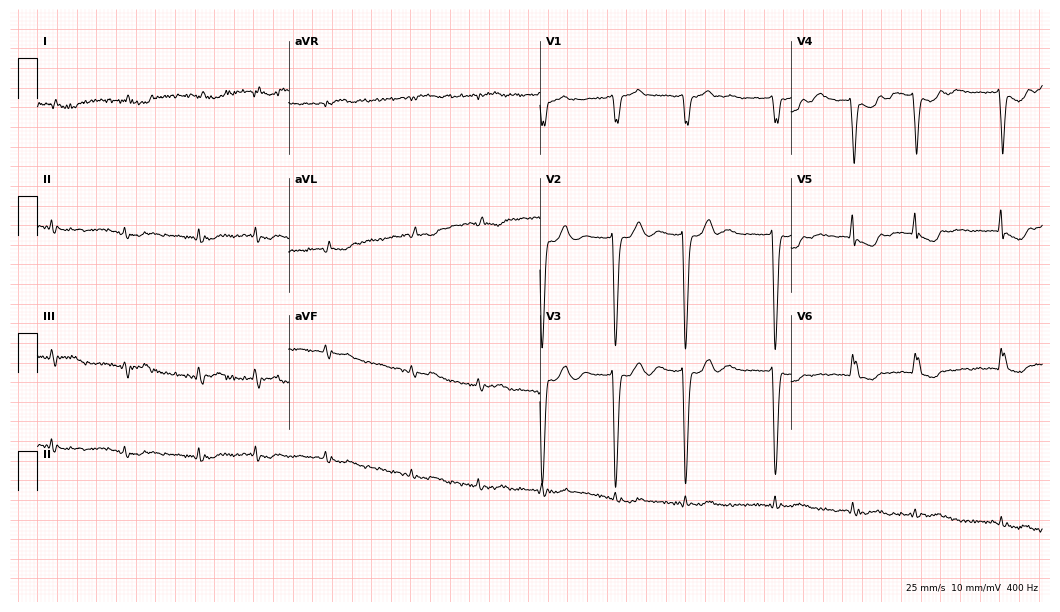
Standard 12-lead ECG recorded from a male, 82 years old. The tracing shows atrial fibrillation.